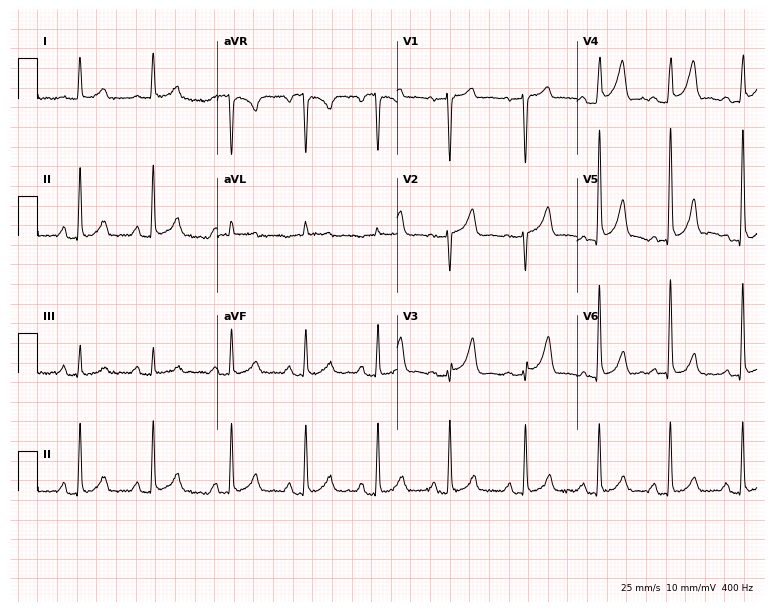
12-lead ECG (7.3-second recording at 400 Hz) from a 64-year-old female. Screened for six findings — first-degree AV block, right bundle branch block, left bundle branch block, sinus bradycardia, atrial fibrillation, sinus tachycardia — none is recorded. Findings outside these six are not listed.